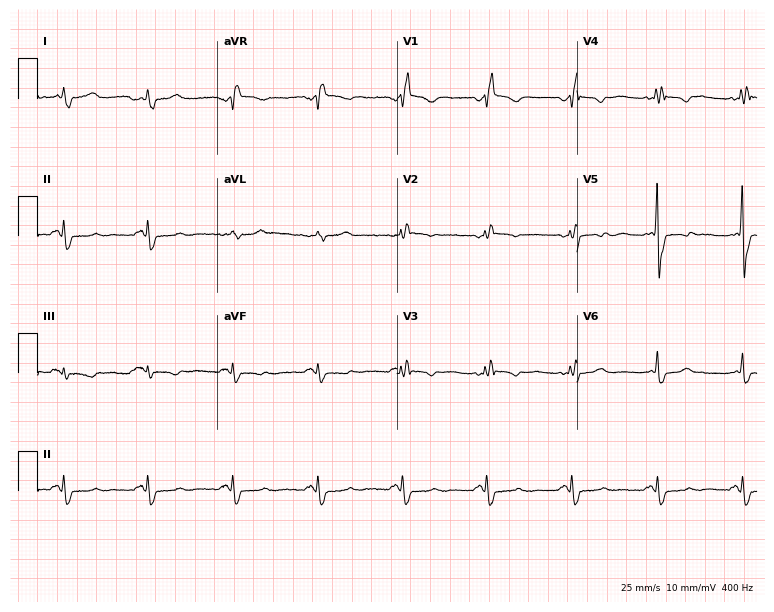
12-lead ECG from a 50-year-old female. Screened for six findings — first-degree AV block, right bundle branch block, left bundle branch block, sinus bradycardia, atrial fibrillation, sinus tachycardia — none is recorded. Only these six findings were labelled.